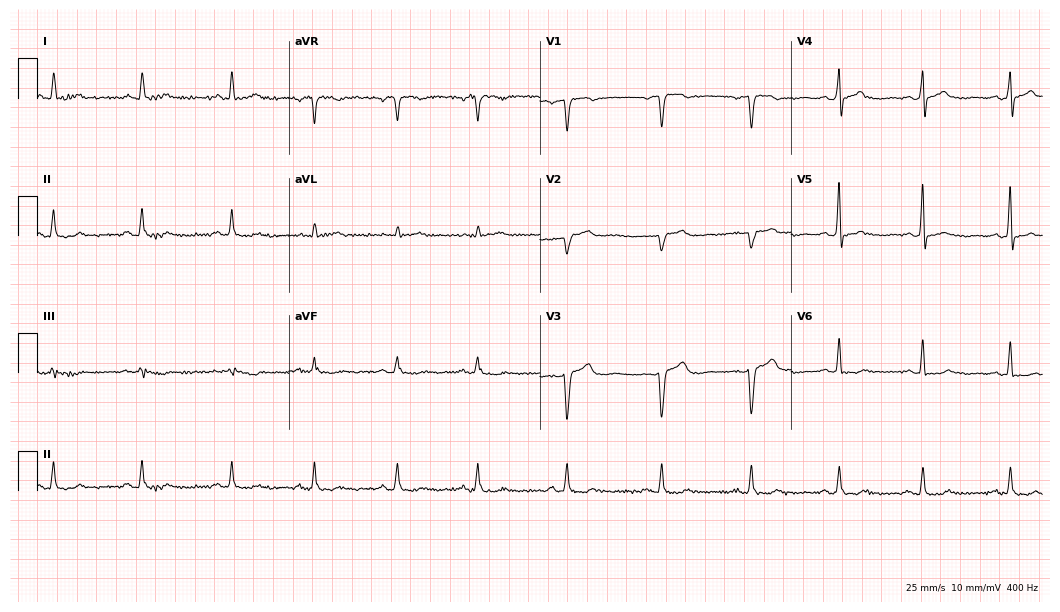
12-lead ECG (10.2-second recording at 400 Hz) from a female, 62 years old. Screened for six findings — first-degree AV block, right bundle branch block, left bundle branch block, sinus bradycardia, atrial fibrillation, sinus tachycardia — none is recorded. Only these six findings were labelled.